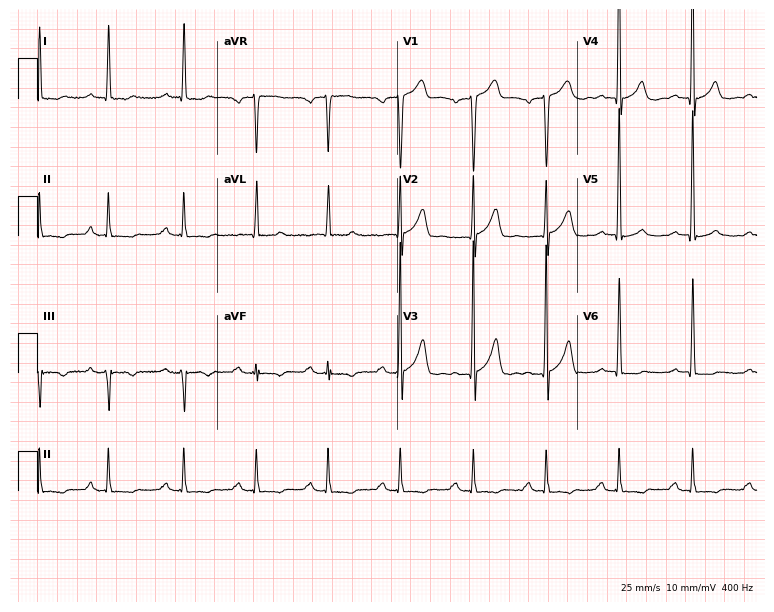
12-lead ECG from a male, 67 years old. Screened for six findings — first-degree AV block, right bundle branch block, left bundle branch block, sinus bradycardia, atrial fibrillation, sinus tachycardia — none is recorded.